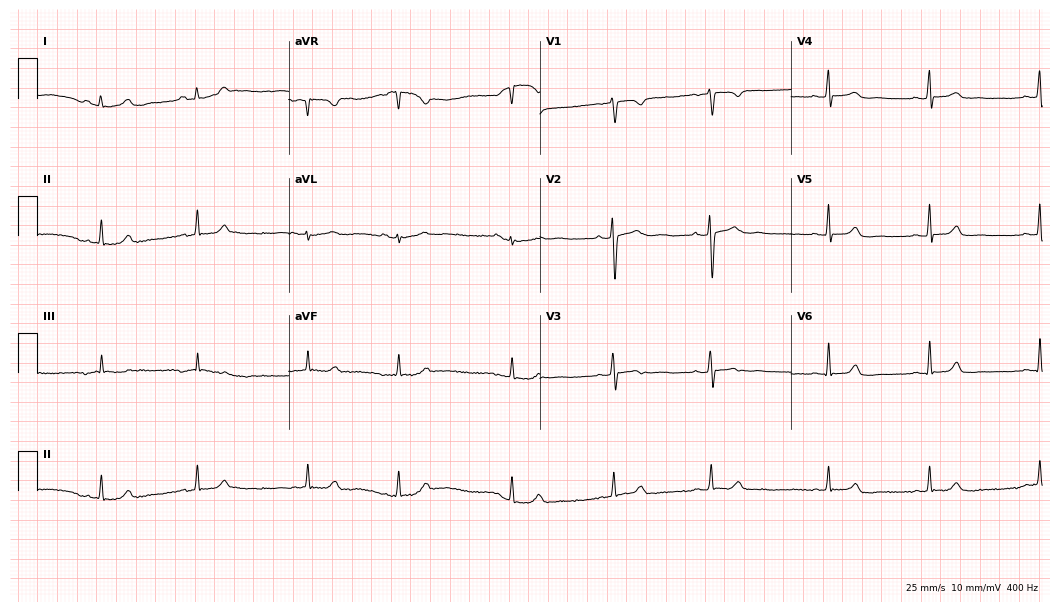
ECG — a 23-year-old woman. Labelled as a normal ECG.